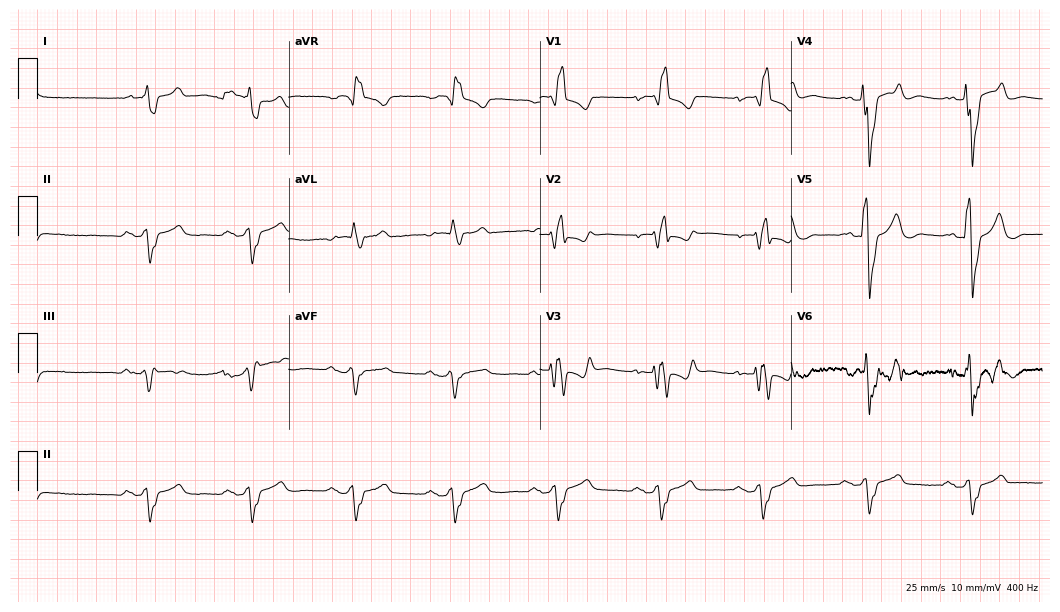
12-lead ECG (10.2-second recording at 400 Hz) from a 75-year-old female patient. Screened for six findings — first-degree AV block, right bundle branch block, left bundle branch block, sinus bradycardia, atrial fibrillation, sinus tachycardia — none is recorded. Only these six findings were labelled.